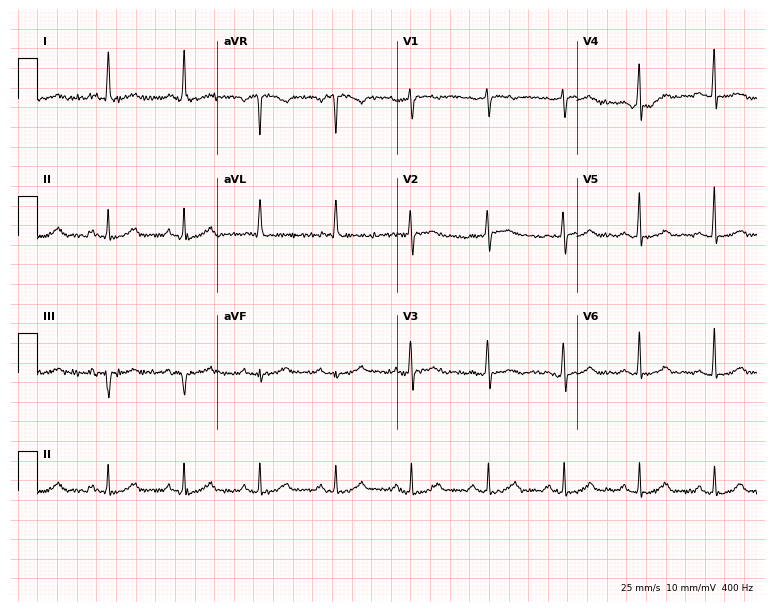
Resting 12-lead electrocardiogram. Patient: a 51-year-old female. None of these six findings is recorded: first-degree AV block, right bundle branch block, left bundle branch block, sinus bradycardia, atrial fibrillation, sinus tachycardia. Only these six findings were labelled.